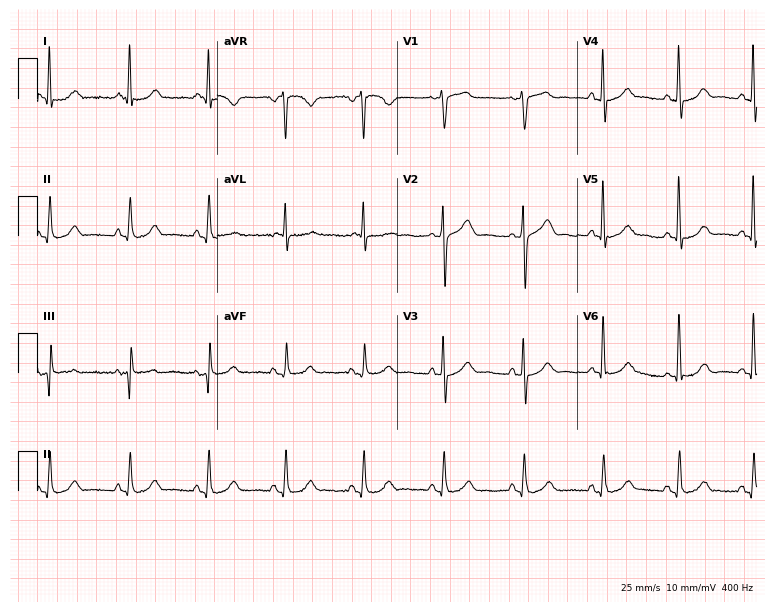
12-lead ECG from a 74-year-old female. Labelled as a normal ECG.